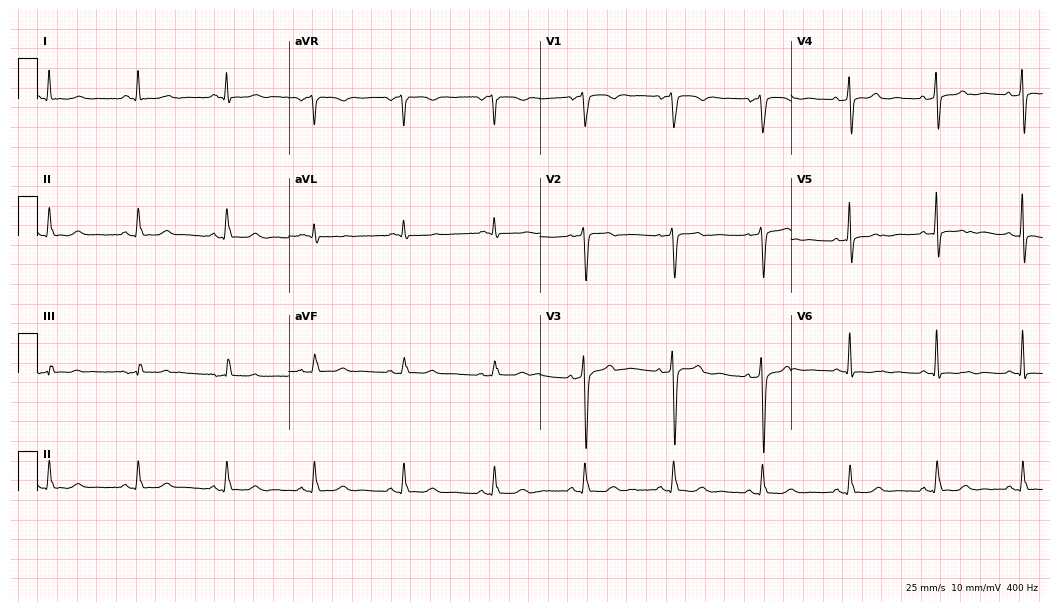
Resting 12-lead electrocardiogram. Patient: a 62-year-old female. None of these six findings is recorded: first-degree AV block, right bundle branch block, left bundle branch block, sinus bradycardia, atrial fibrillation, sinus tachycardia.